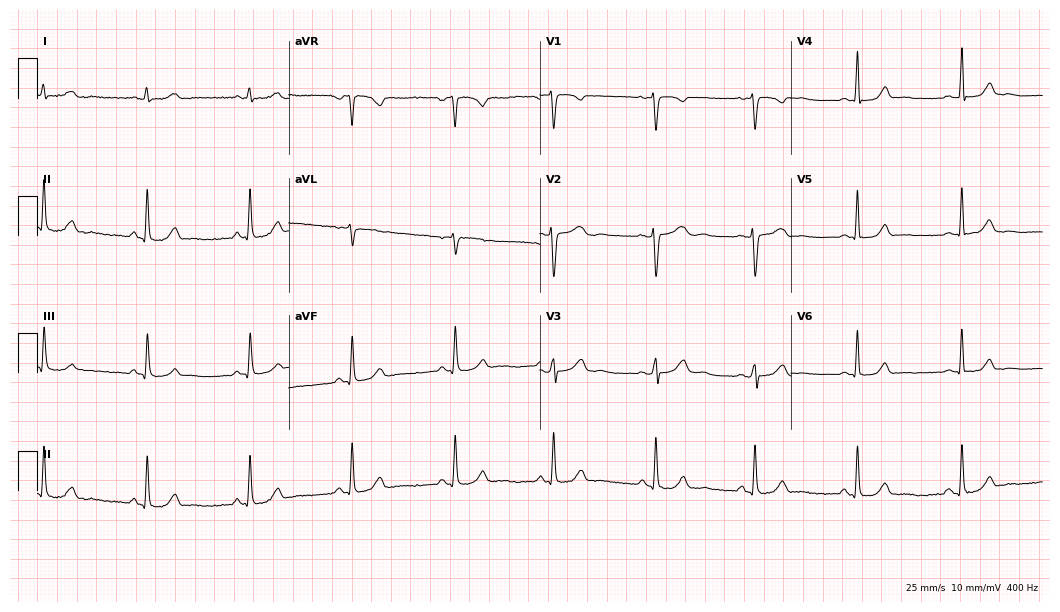
12-lead ECG from a 30-year-old female patient (10.2-second recording at 400 Hz). Recorded interpretation: within normal limits.